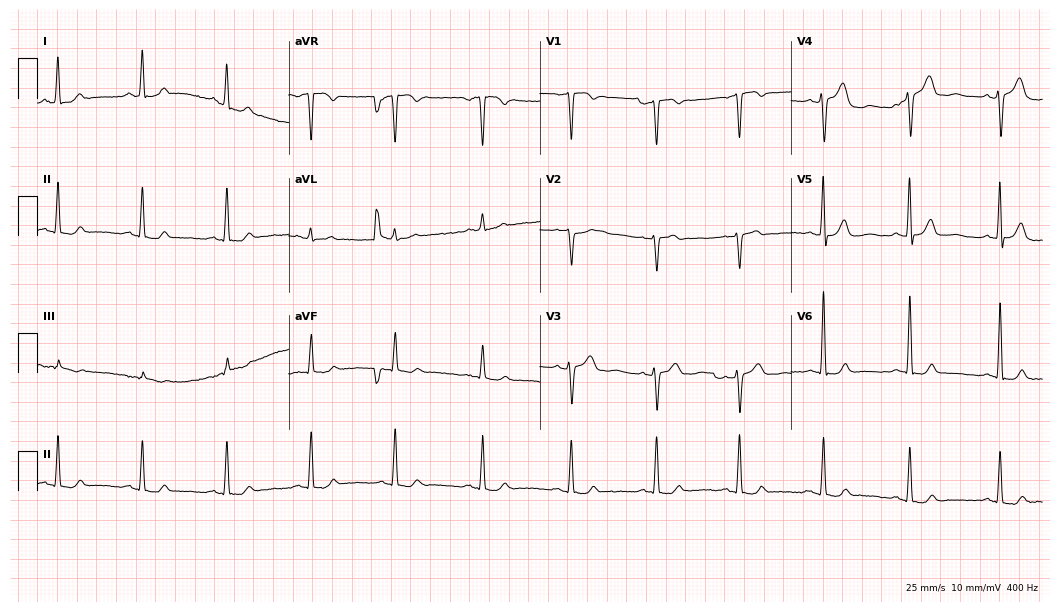
Resting 12-lead electrocardiogram (10.2-second recording at 400 Hz). Patient: a female, 51 years old. Read as a normal ECG.